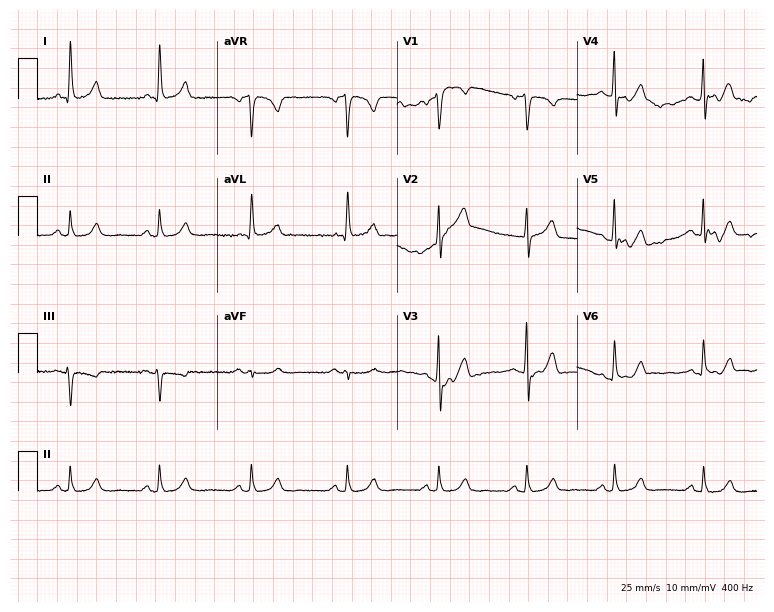
12-lead ECG (7.3-second recording at 400 Hz) from a man, 59 years old. Labelled as a normal ECG.